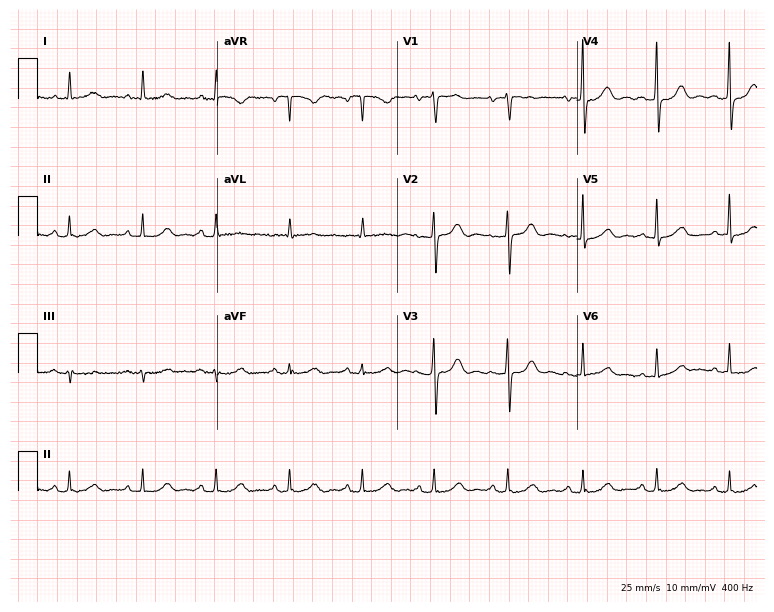
ECG — an 83-year-old female. Labelled as a normal ECG.